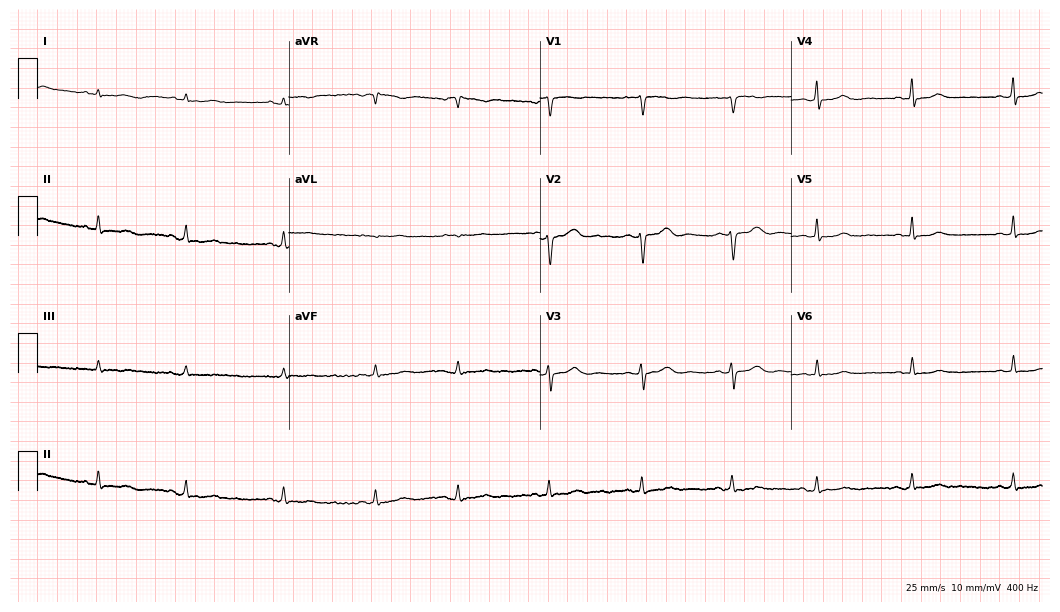
12-lead ECG from an 18-year-old female. Recorded interpretation: within normal limits.